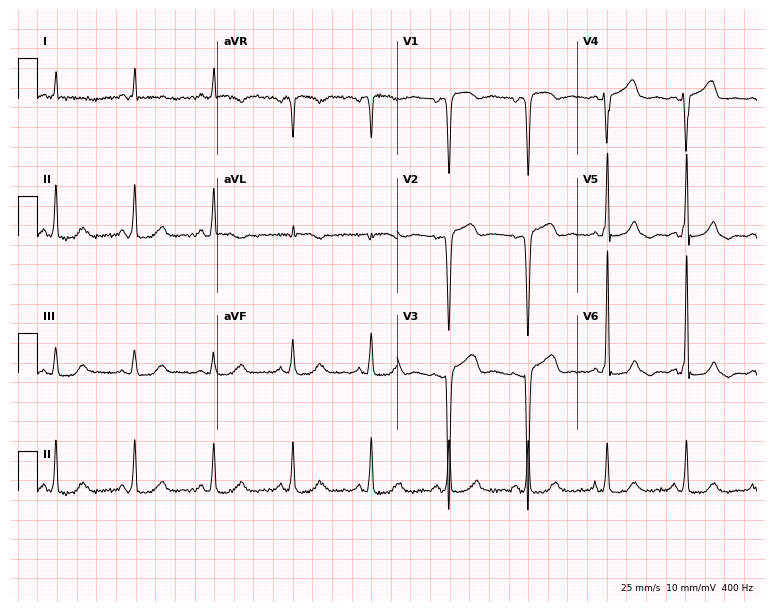
ECG (7.3-second recording at 400 Hz) — an 81-year-old woman. Screened for six findings — first-degree AV block, right bundle branch block, left bundle branch block, sinus bradycardia, atrial fibrillation, sinus tachycardia — none is recorded.